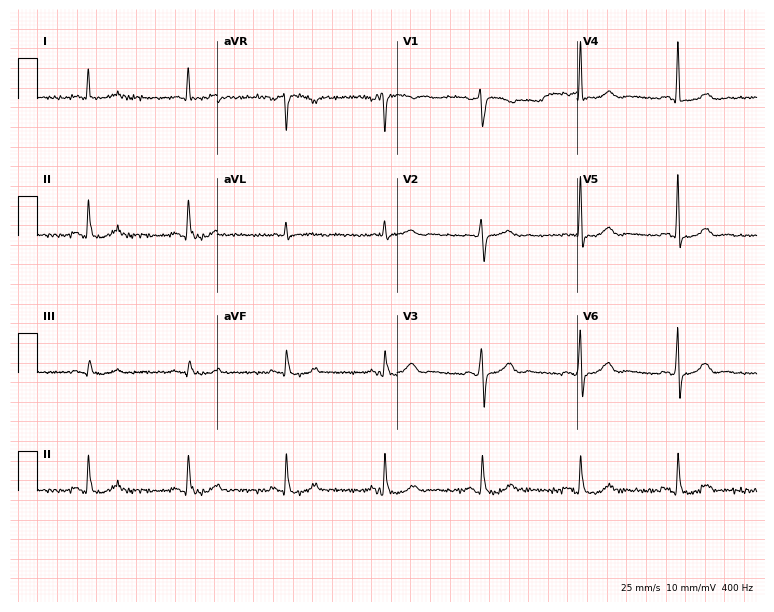
Resting 12-lead electrocardiogram. Patient: a 75-year-old male. Read as a normal ECG.